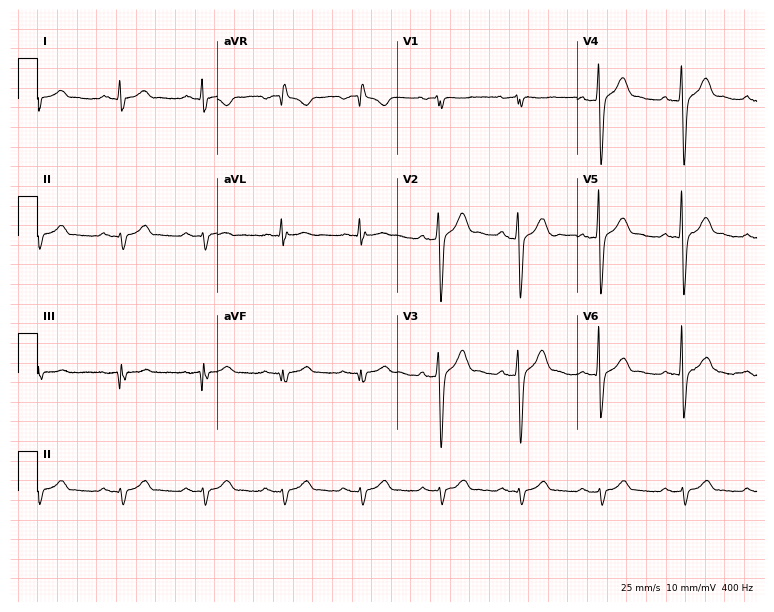
12-lead ECG from a man, 35 years old. Screened for six findings — first-degree AV block, right bundle branch block, left bundle branch block, sinus bradycardia, atrial fibrillation, sinus tachycardia — none is recorded.